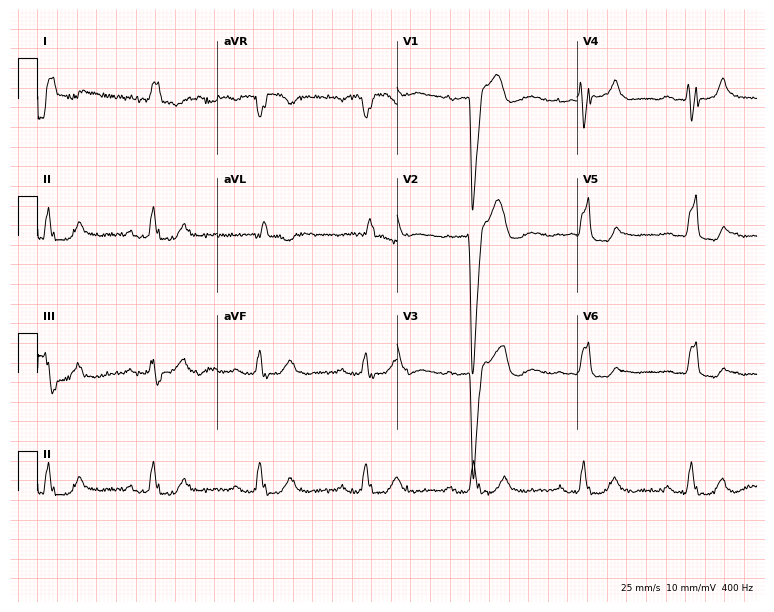
12-lead ECG from a male, 78 years old (7.3-second recording at 400 Hz). Shows first-degree AV block, left bundle branch block.